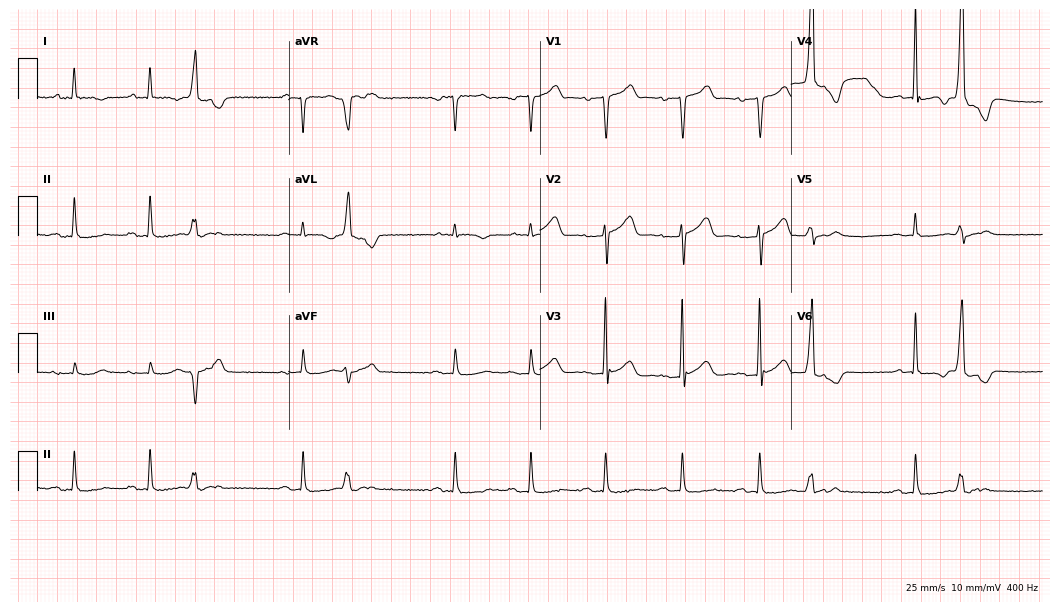
Standard 12-lead ECG recorded from a man, 75 years old (10.2-second recording at 400 Hz). None of these six findings is recorded: first-degree AV block, right bundle branch block, left bundle branch block, sinus bradycardia, atrial fibrillation, sinus tachycardia. Other findings, if any, are not listed.